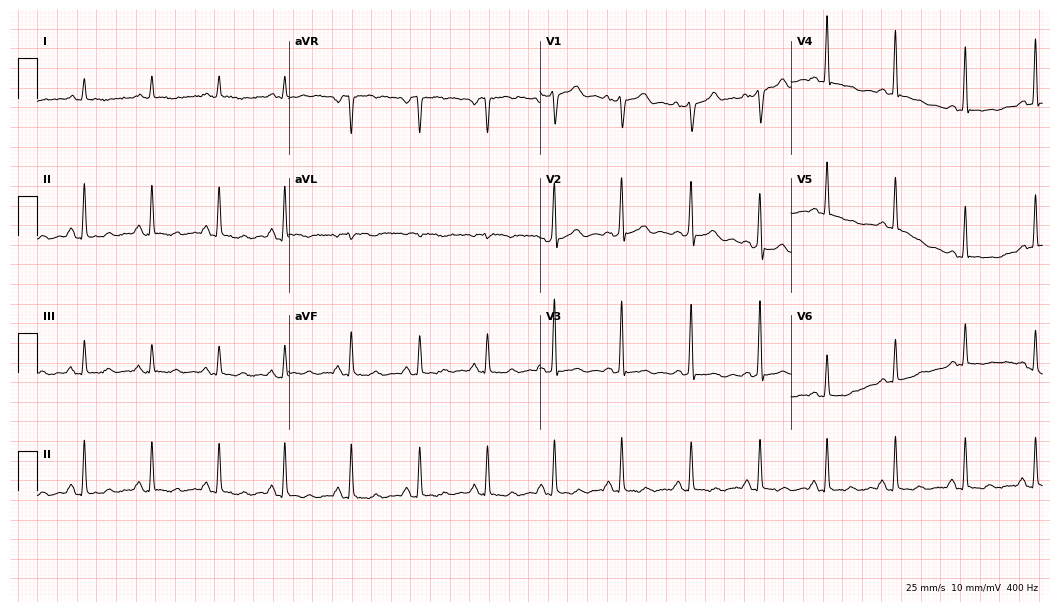
Electrocardiogram, a male, 75 years old. Overall reading on record: normal ECG.